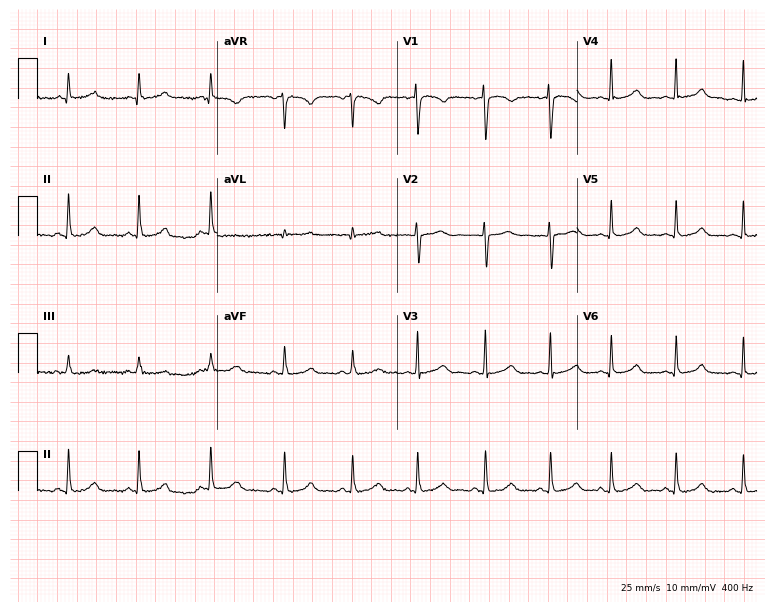
12-lead ECG from a female patient, 33 years old. Labelled as a normal ECG.